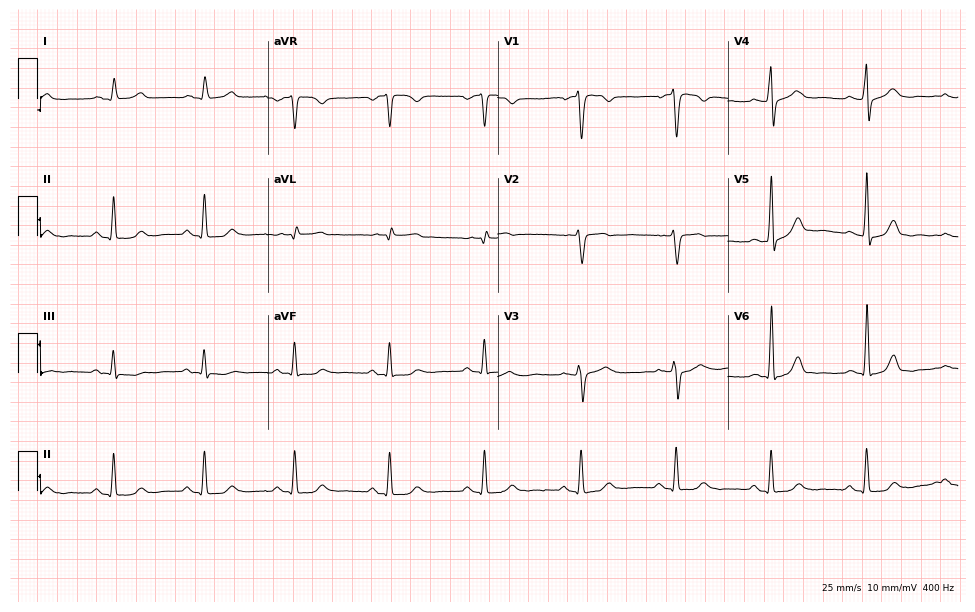
Electrocardiogram (9.4-second recording at 400 Hz), a man, 85 years old. Of the six screened findings (first-degree AV block, right bundle branch block, left bundle branch block, sinus bradycardia, atrial fibrillation, sinus tachycardia), none is recorded. Other findings, if any, are not listed.